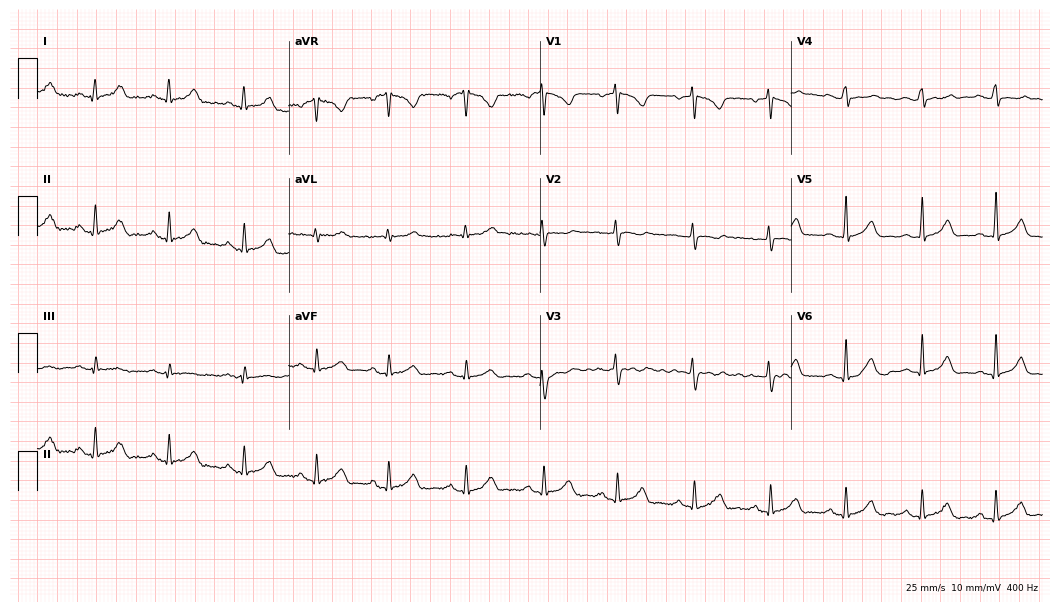
Resting 12-lead electrocardiogram. Patient: a 30-year-old female. Read as a normal ECG.